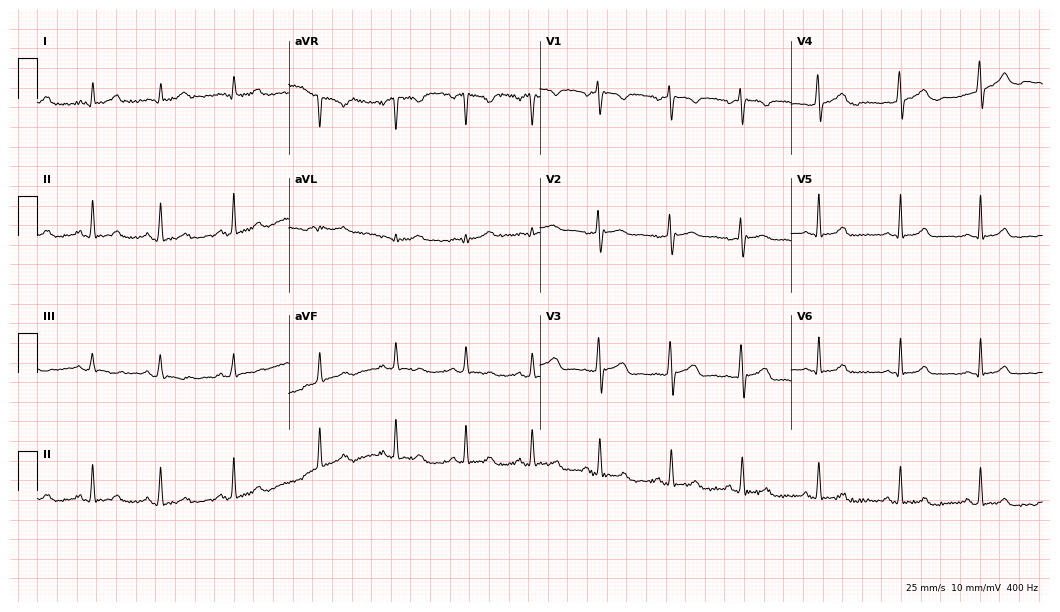
Standard 12-lead ECG recorded from a woman, 32 years old (10.2-second recording at 400 Hz). None of these six findings is recorded: first-degree AV block, right bundle branch block (RBBB), left bundle branch block (LBBB), sinus bradycardia, atrial fibrillation (AF), sinus tachycardia.